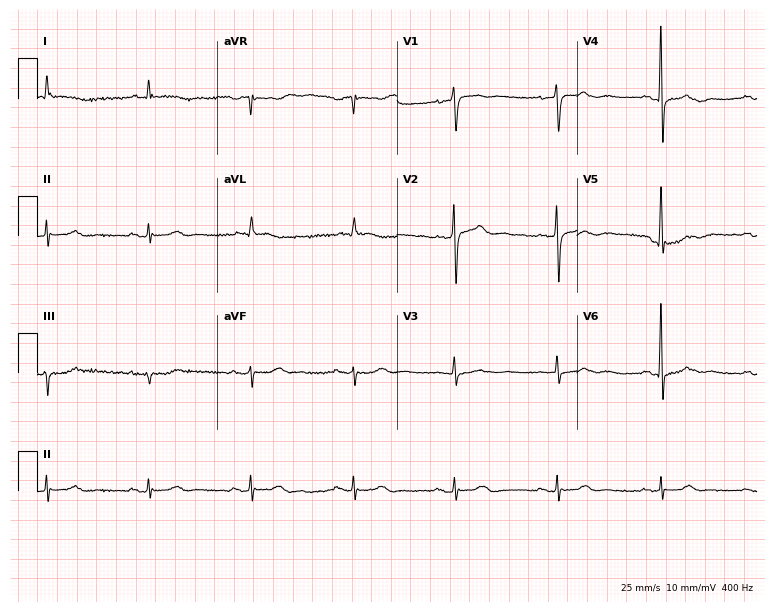
12-lead ECG from a 73-year-old male patient. Screened for six findings — first-degree AV block, right bundle branch block, left bundle branch block, sinus bradycardia, atrial fibrillation, sinus tachycardia — none is recorded. Only these six findings were labelled.